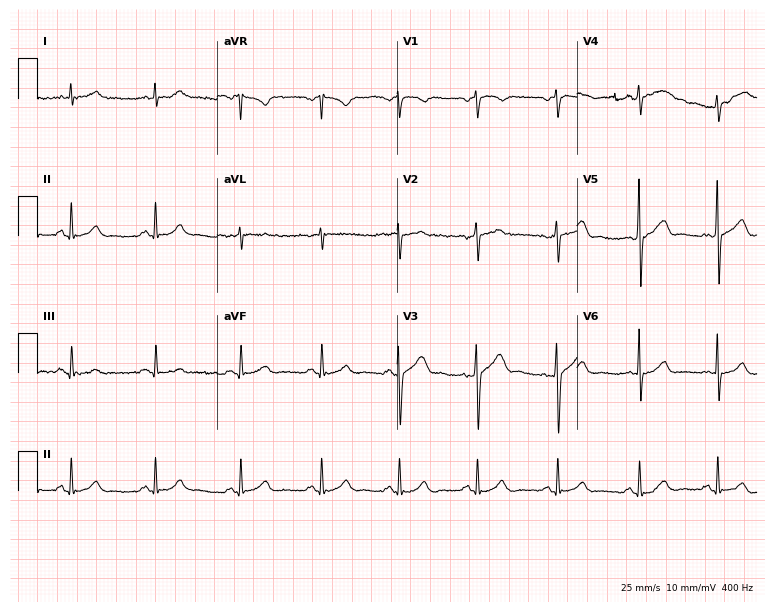
Standard 12-lead ECG recorded from a male, 53 years old (7.3-second recording at 400 Hz). Read as a normal ECG.